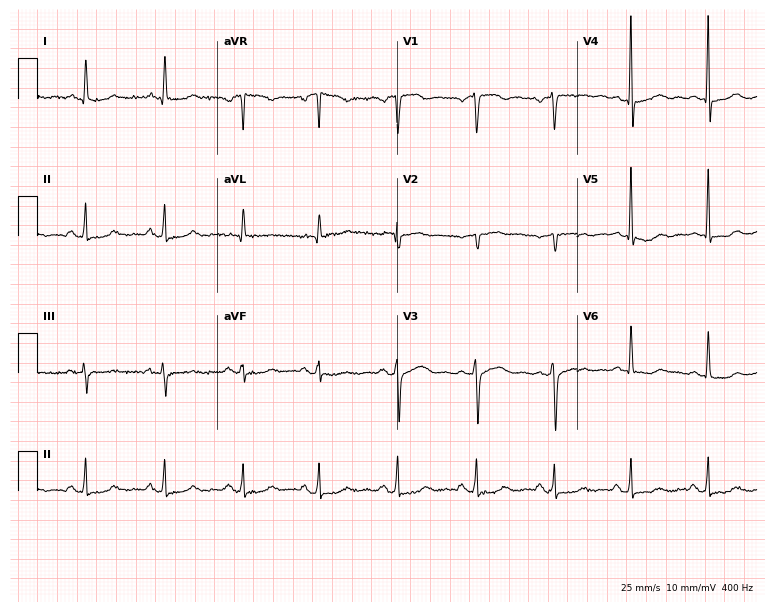
12-lead ECG (7.3-second recording at 400 Hz) from a female patient, 68 years old. Screened for six findings — first-degree AV block, right bundle branch block (RBBB), left bundle branch block (LBBB), sinus bradycardia, atrial fibrillation (AF), sinus tachycardia — none is recorded. Other findings, if any, are not listed.